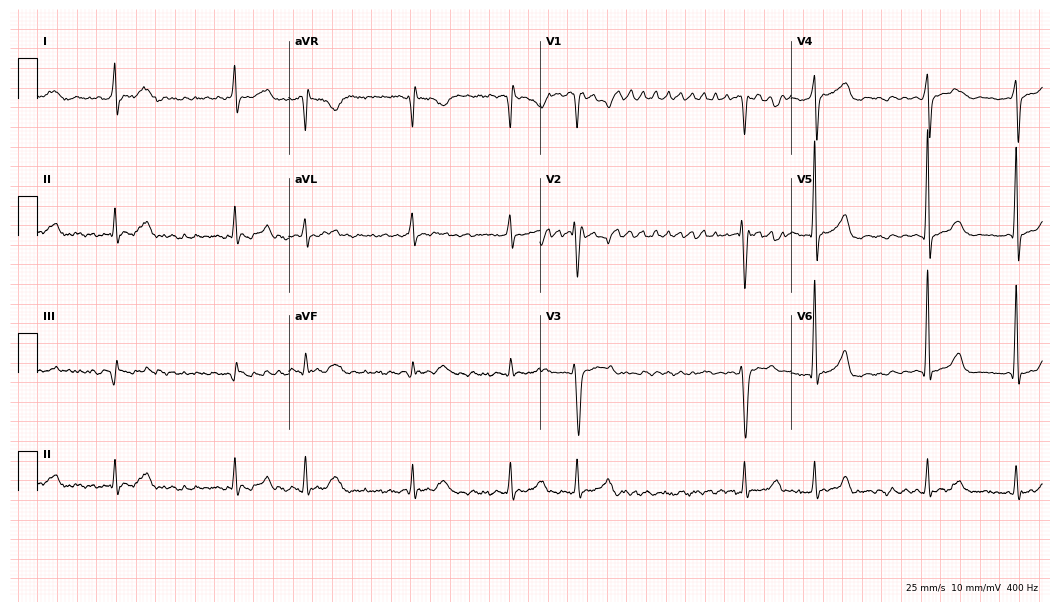
Resting 12-lead electrocardiogram (10.2-second recording at 400 Hz). Patient: a male, 32 years old. The tracing shows atrial fibrillation.